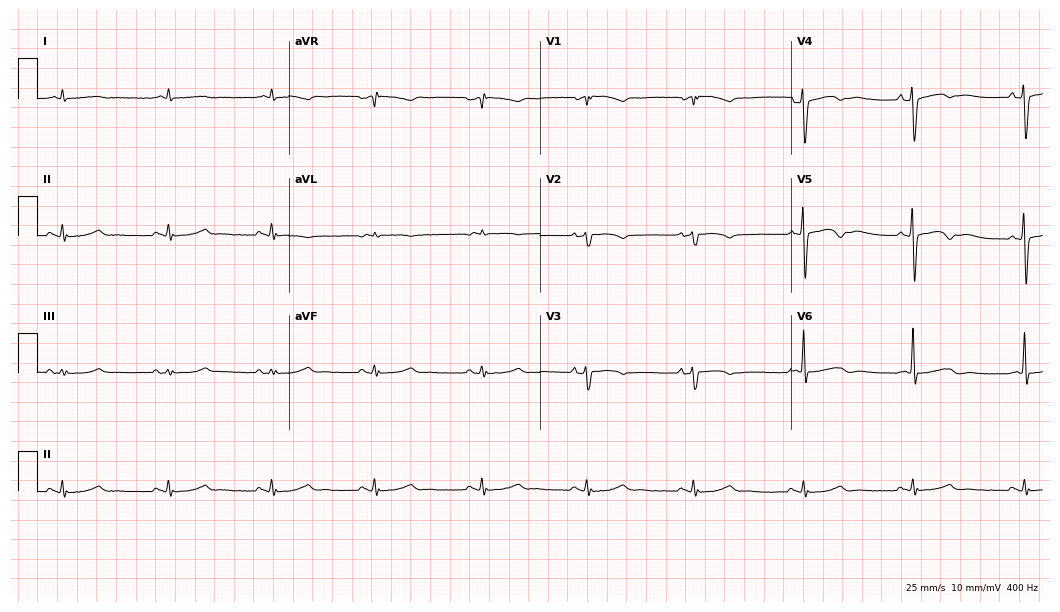
Standard 12-lead ECG recorded from an 80-year-old man. None of these six findings is recorded: first-degree AV block, right bundle branch block, left bundle branch block, sinus bradycardia, atrial fibrillation, sinus tachycardia. Only these six findings were labelled.